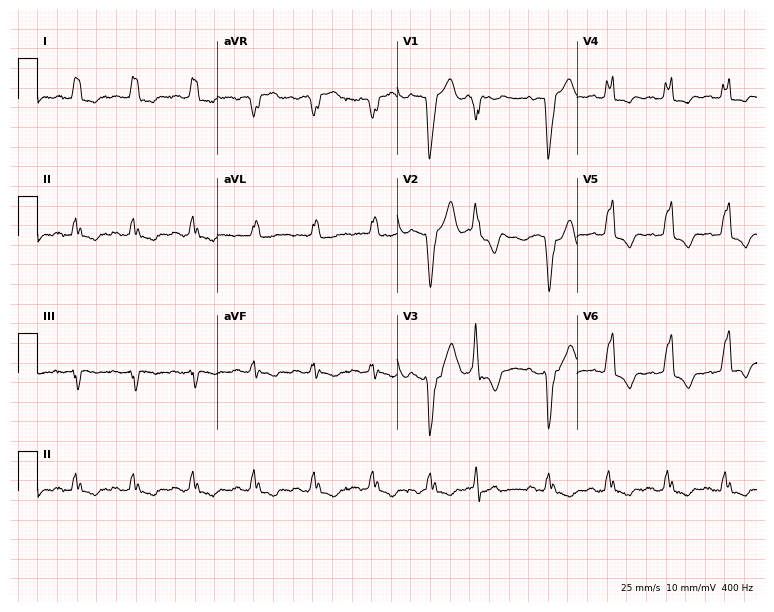
12-lead ECG from a female patient, 80 years old (7.3-second recording at 400 Hz). Shows left bundle branch block, sinus tachycardia (a sinus rate of 100 beats per minute or more).